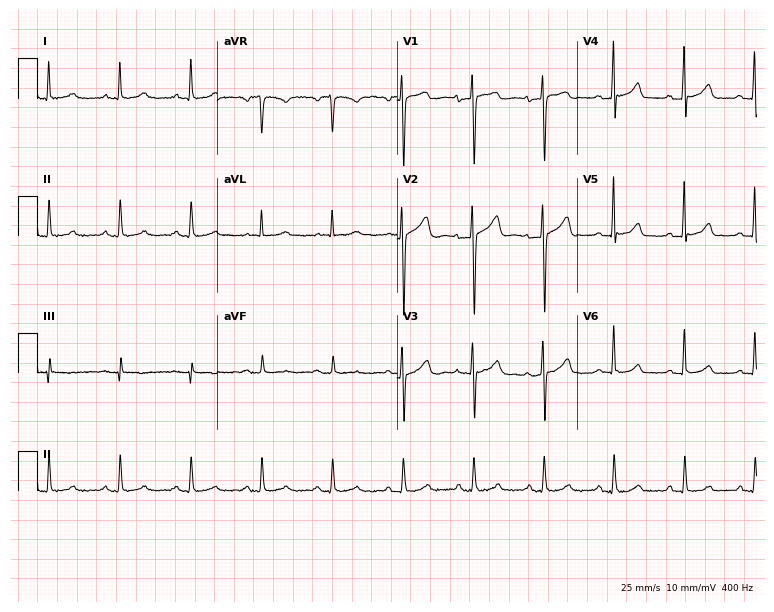
Resting 12-lead electrocardiogram (7.3-second recording at 400 Hz). Patient: a female, 53 years old. Read as a normal ECG.